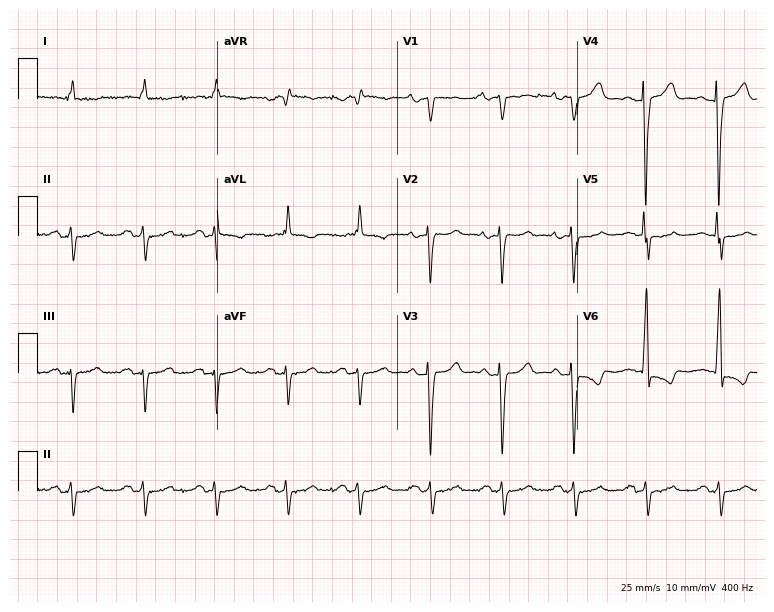
12-lead ECG (7.3-second recording at 400 Hz) from a female patient, 77 years old. Screened for six findings — first-degree AV block, right bundle branch block, left bundle branch block, sinus bradycardia, atrial fibrillation, sinus tachycardia — none is recorded. Findings outside these six are not listed.